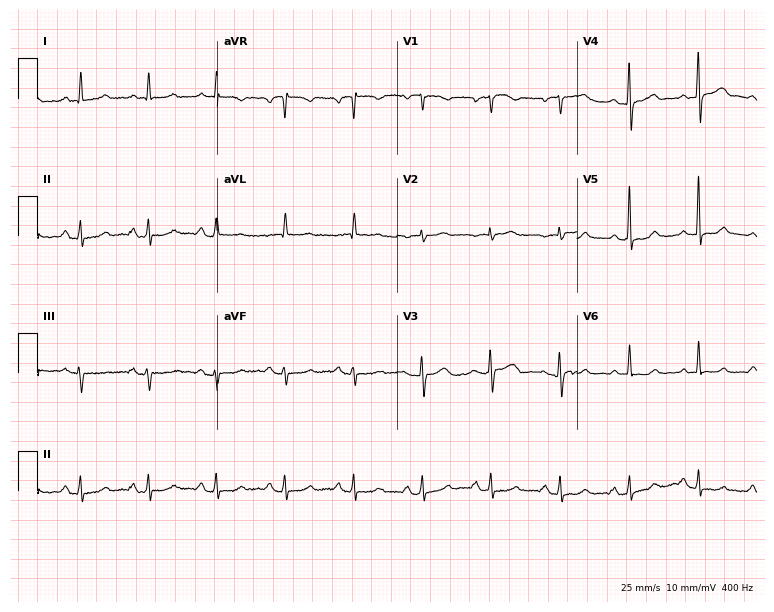
12-lead ECG (7.3-second recording at 400 Hz) from a female patient, 72 years old. Labelled as a normal ECG.